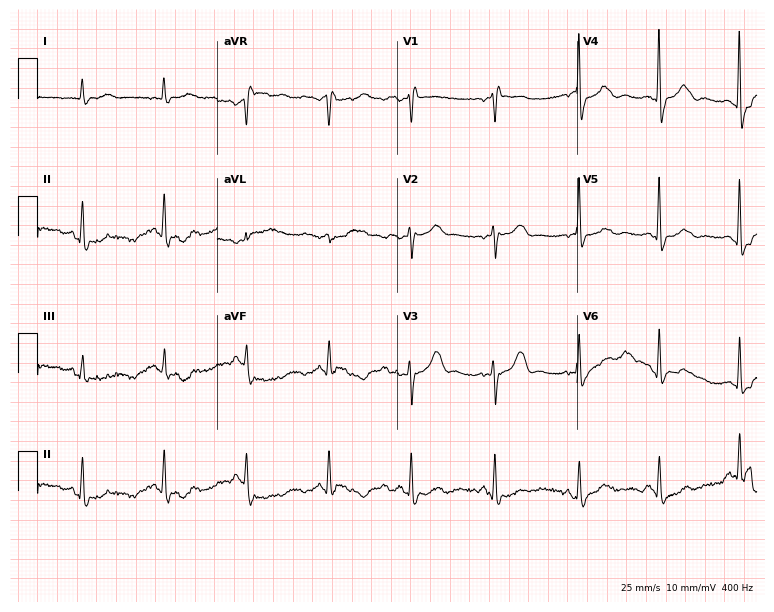
Standard 12-lead ECG recorded from a 79-year-old female patient. None of these six findings is recorded: first-degree AV block, right bundle branch block, left bundle branch block, sinus bradycardia, atrial fibrillation, sinus tachycardia. Only these six findings were labelled.